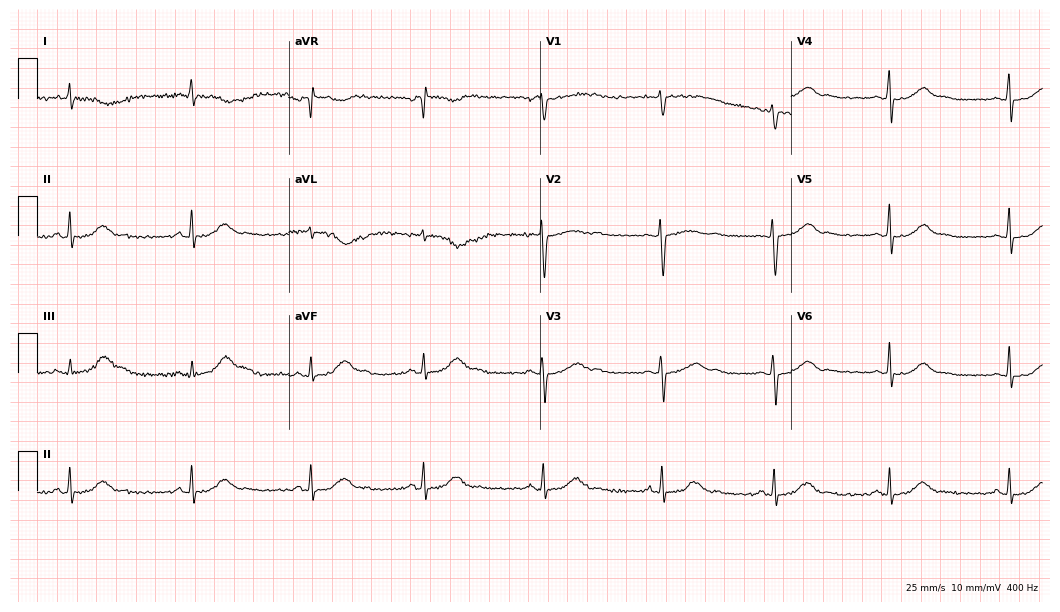
Standard 12-lead ECG recorded from a 45-year-old woman. None of these six findings is recorded: first-degree AV block, right bundle branch block, left bundle branch block, sinus bradycardia, atrial fibrillation, sinus tachycardia. Other findings, if any, are not listed.